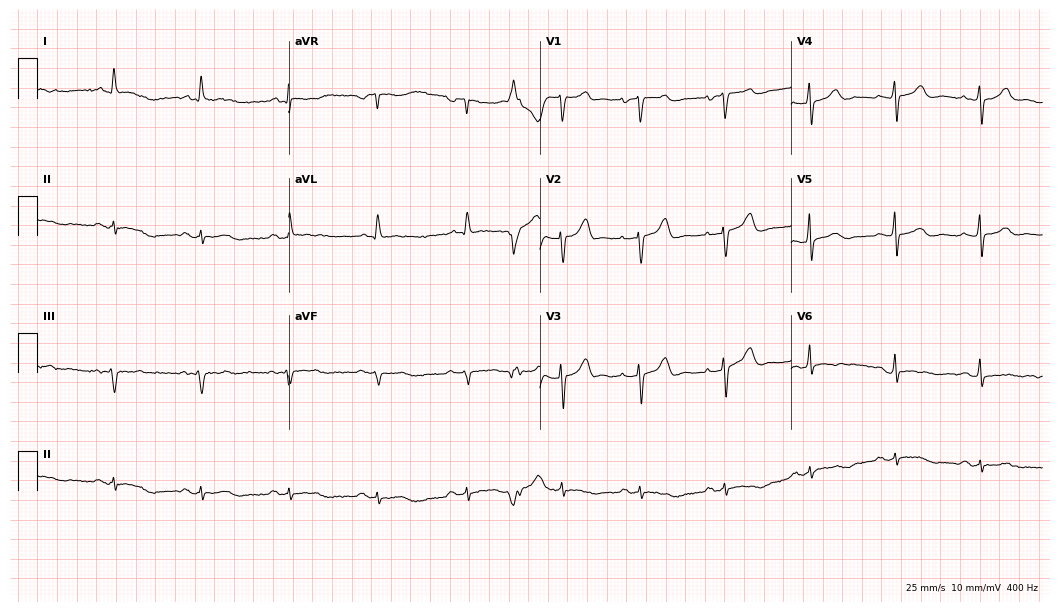
12-lead ECG from a male, 74 years old. Screened for six findings — first-degree AV block, right bundle branch block (RBBB), left bundle branch block (LBBB), sinus bradycardia, atrial fibrillation (AF), sinus tachycardia — none is recorded. Findings outside these six are not listed.